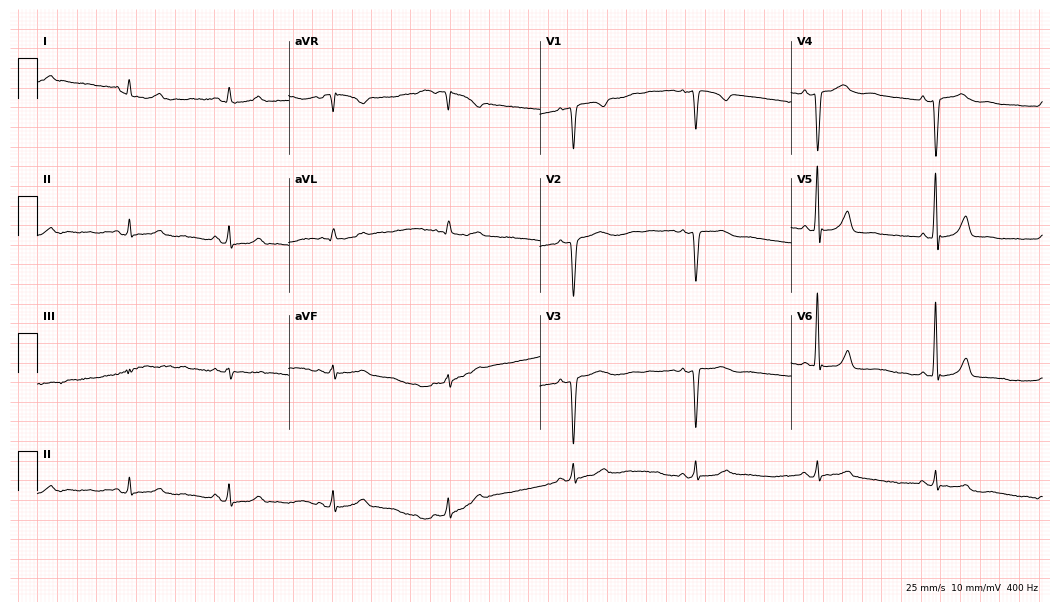
Electrocardiogram (10.2-second recording at 400 Hz), a female, 45 years old. Of the six screened findings (first-degree AV block, right bundle branch block, left bundle branch block, sinus bradycardia, atrial fibrillation, sinus tachycardia), none is recorded.